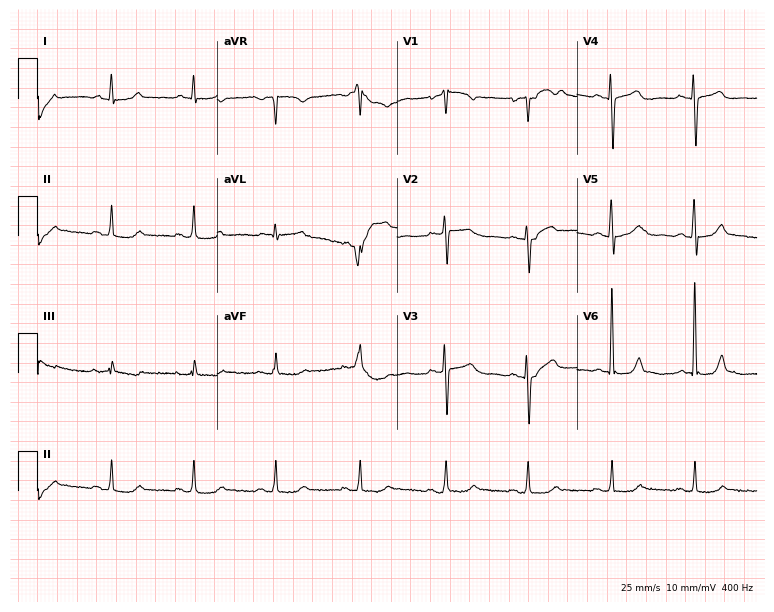
Resting 12-lead electrocardiogram. Patient: a female, 64 years old. None of these six findings is recorded: first-degree AV block, right bundle branch block, left bundle branch block, sinus bradycardia, atrial fibrillation, sinus tachycardia.